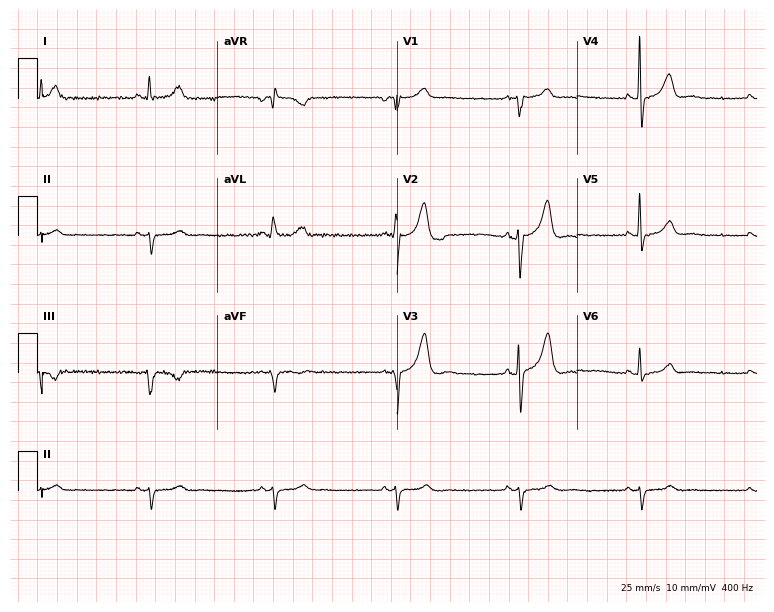
Standard 12-lead ECG recorded from a 66-year-old female (7.3-second recording at 400 Hz). The tracing shows sinus bradycardia (a sinus rate of 50 beats per minute or less).